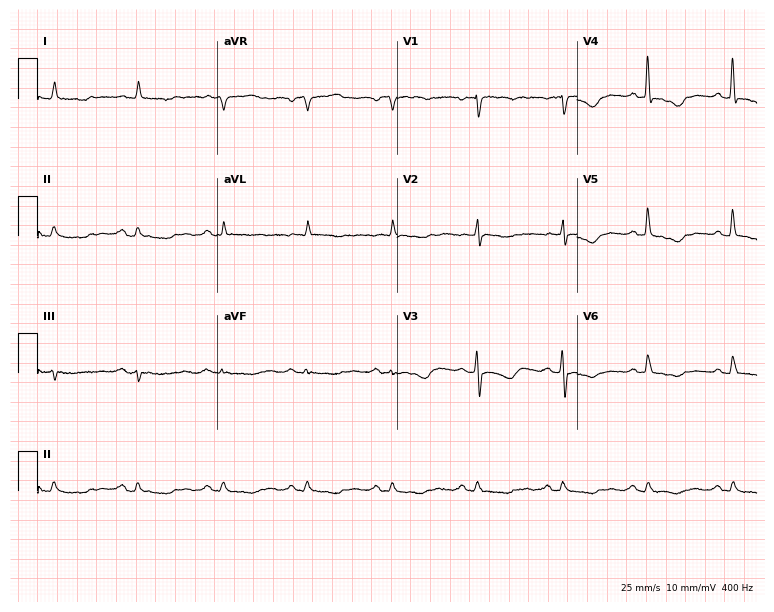
Electrocardiogram, an 81-year-old man. Of the six screened findings (first-degree AV block, right bundle branch block (RBBB), left bundle branch block (LBBB), sinus bradycardia, atrial fibrillation (AF), sinus tachycardia), none is recorded. Findings outside these six are not listed.